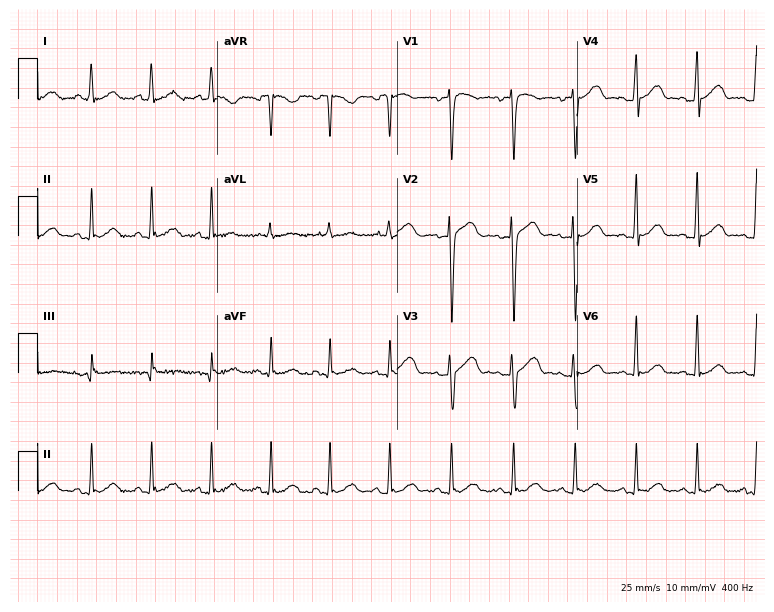
Resting 12-lead electrocardiogram (7.3-second recording at 400 Hz). Patient: a male, 21 years old. Read as a normal ECG.